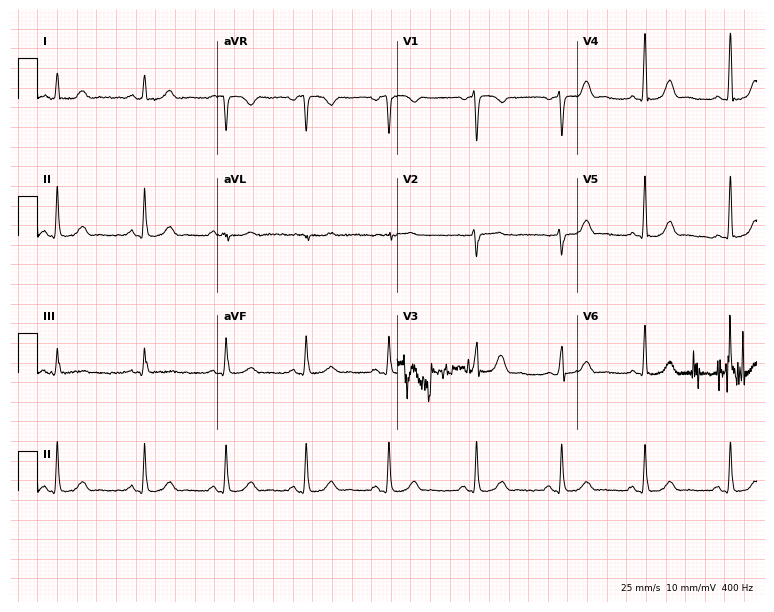
ECG — a 30-year-old female patient. Screened for six findings — first-degree AV block, right bundle branch block, left bundle branch block, sinus bradycardia, atrial fibrillation, sinus tachycardia — none is recorded.